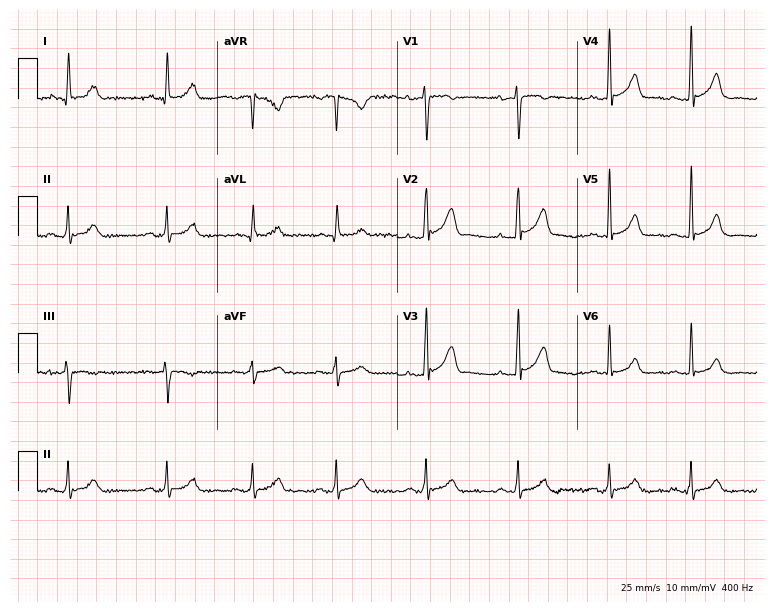
12-lead ECG (7.3-second recording at 400 Hz) from a man, 38 years old. Screened for six findings — first-degree AV block, right bundle branch block, left bundle branch block, sinus bradycardia, atrial fibrillation, sinus tachycardia — none is recorded.